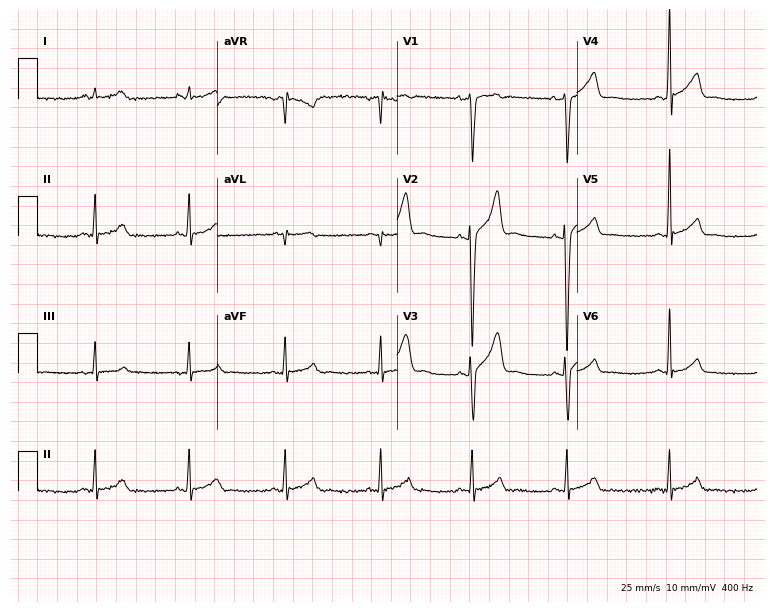
12-lead ECG from a 25-year-old male patient (7.3-second recording at 400 Hz). No first-degree AV block, right bundle branch block (RBBB), left bundle branch block (LBBB), sinus bradycardia, atrial fibrillation (AF) or sinus tachycardia recorded for this tracing.